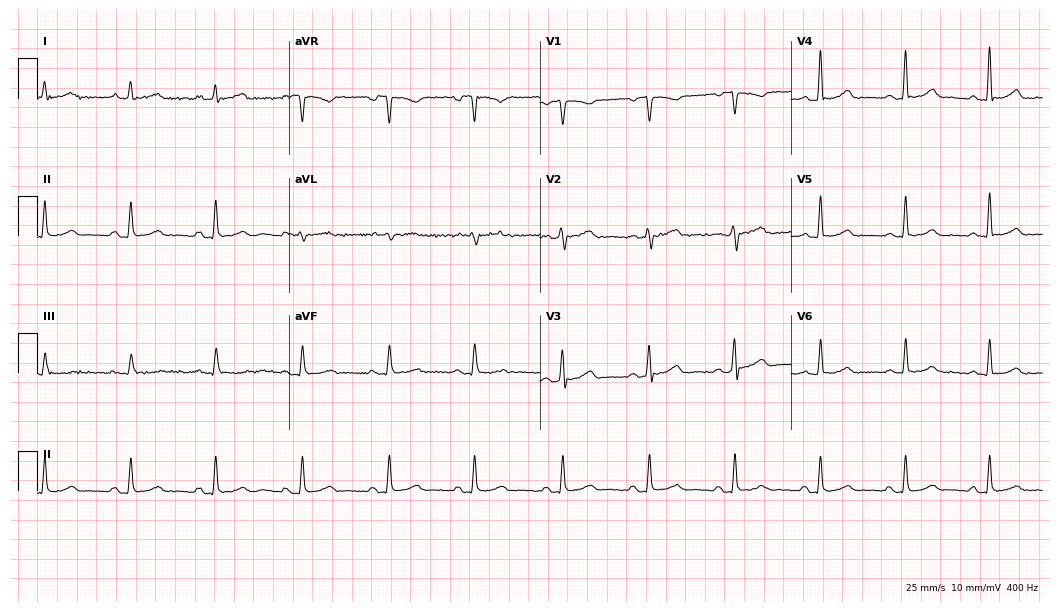
12-lead ECG from a female, 53 years old (10.2-second recording at 400 Hz). Recorded interpretation: within normal limits.